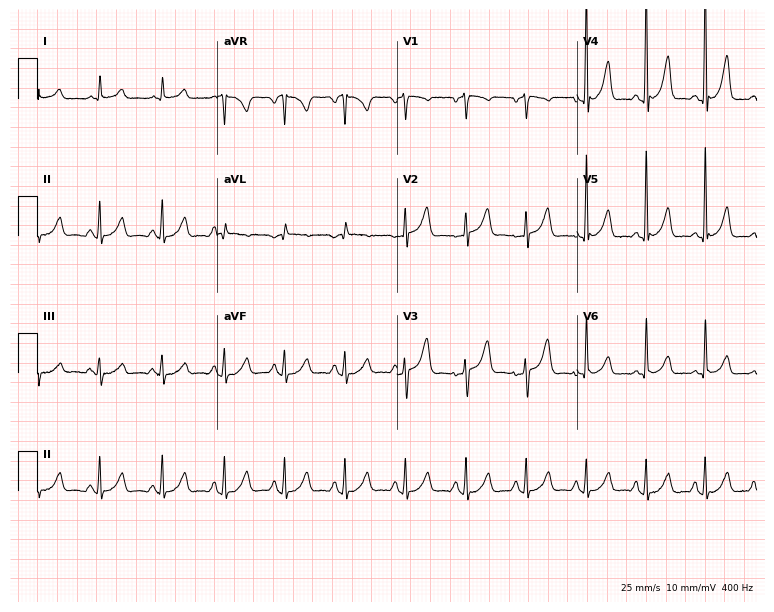
Electrocardiogram (7.3-second recording at 400 Hz), a 58-year-old man. Overall reading on record: normal ECG.